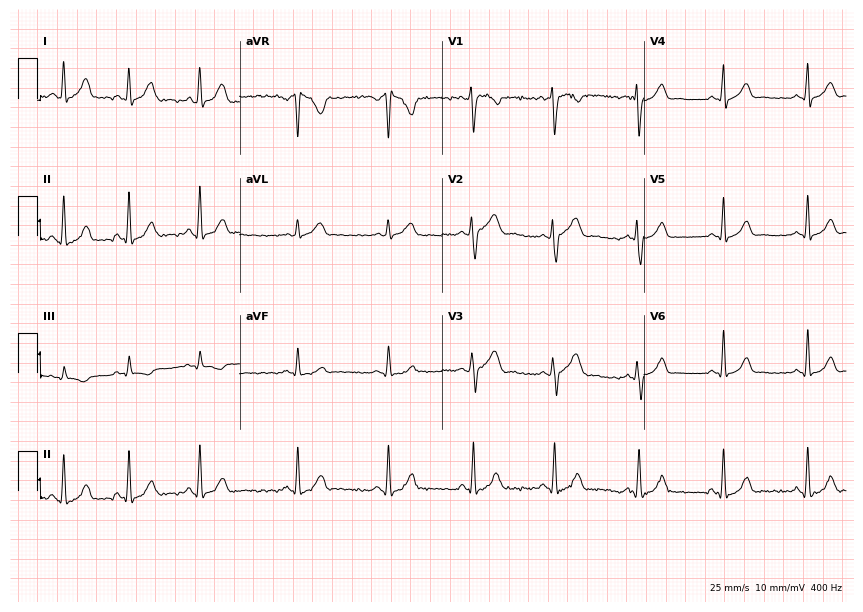
Resting 12-lead electrocardiogram (8.2-second recording at 400 Hz). Patient: a 21-year-old woman. Read as a normal ECG.